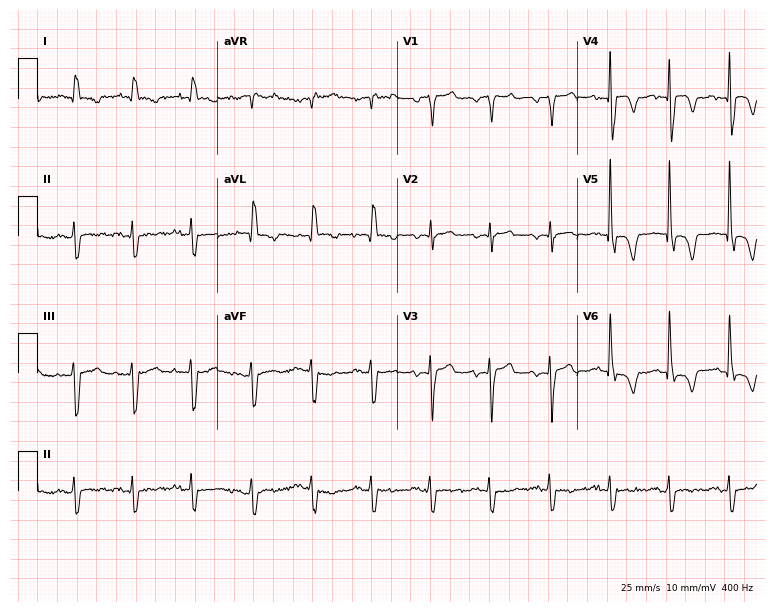
Electrocardiogram, an 85-year-old male patient. Of the six screened findings (first-degree AV block, right bundle branch block, left bundle branch block, sinus bradycardia, atrial fibrillation, sinus tachycardia), none is recorded.